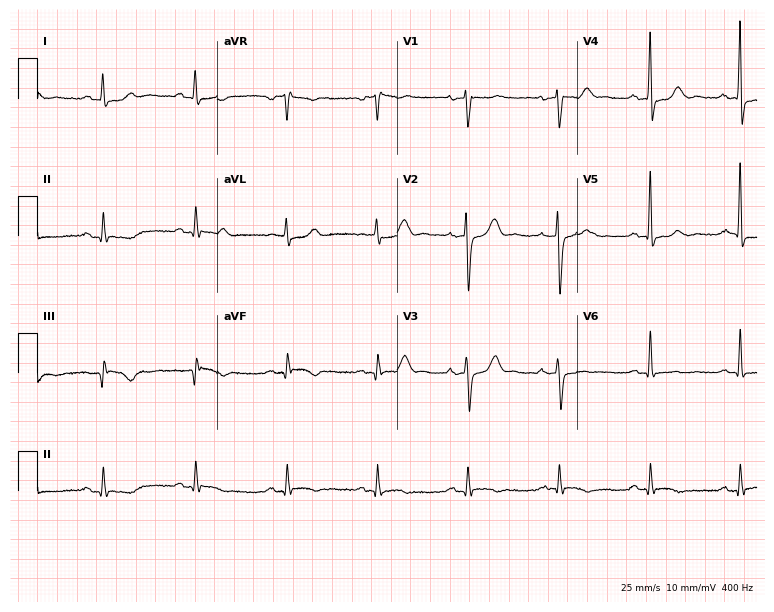
ECG — a 53-year-old male. Screened for six findings — first-degree AV block, right bundle branch block, left bundle branch block, sinus bradycardia, atrial fibrillation, sinus tachycardia — none is recorded. Findings outside these six are not listed.